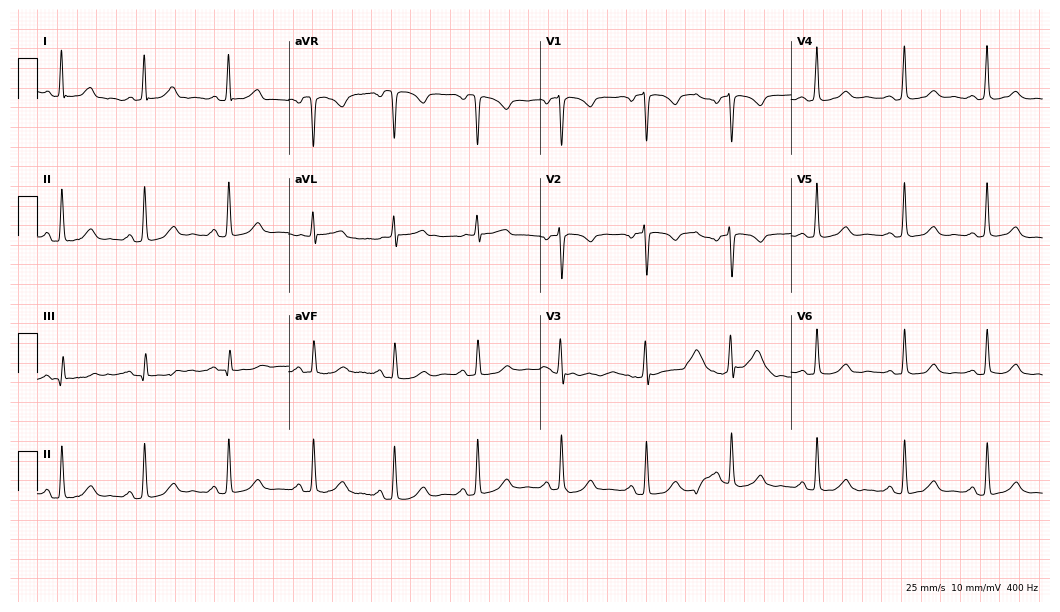
12-lead ECG from a 55-year-old woman. Recorded interpretation: within normal limits.